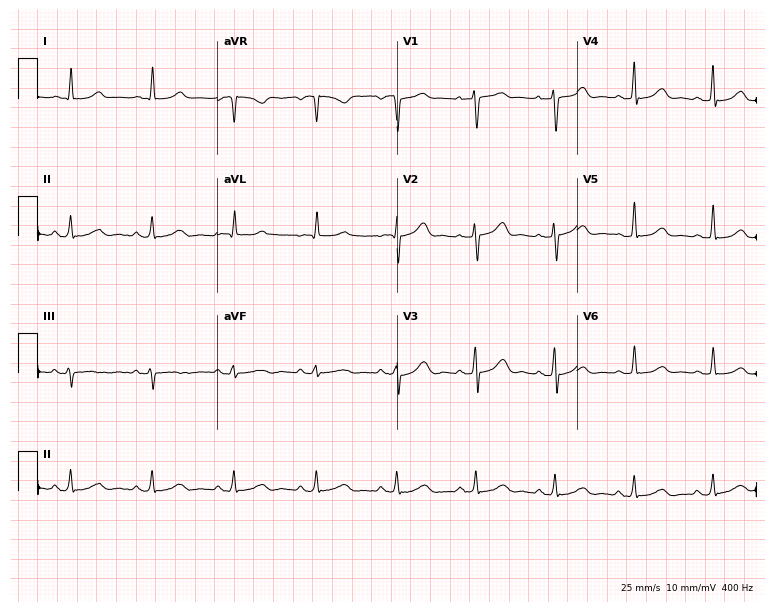
Electrocardiogram, a woman, 58 years old. Of the six screened findings (first-degree AV block, right bundle branch block (RBBB), left bundle branch block (LBBB), sinus bradycardia, atrial fibrillation (AF), sinus tachycardia), none is recorded.